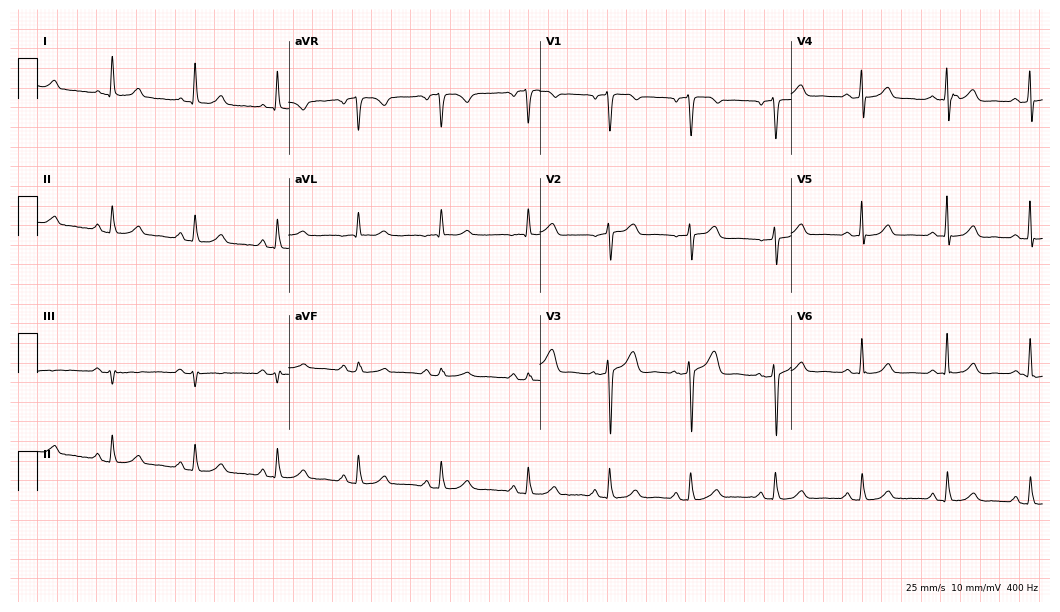
Resting 12-lead electrocardiogram (10.2-second recording at 400 Hz). Patient: a 69-year-old female. Read as a normal ECG.